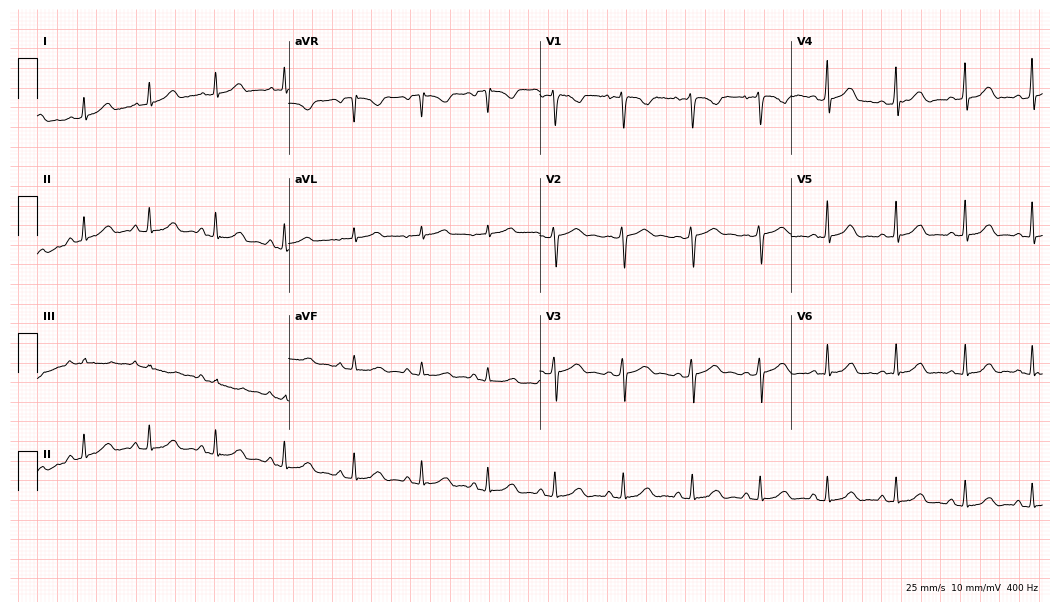
ECG (10.2-second recording at 400 Hz) — a 22-year-old woman. Labelled as a normal ECG.